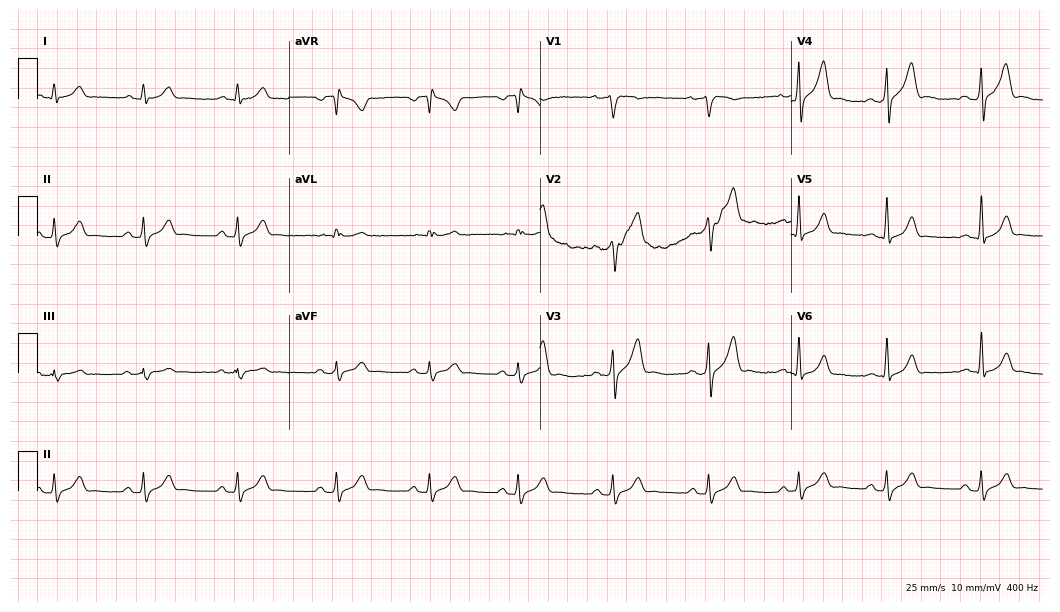
12-lead ECG from a 31-year-old male patient. Labelled as a normal ECG.